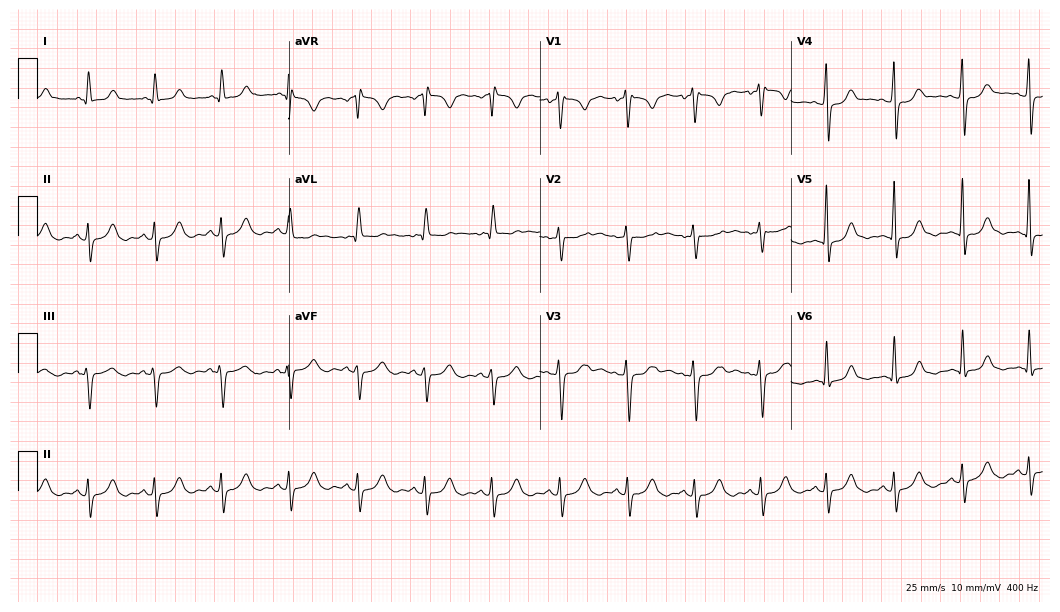
Resting 12-lead electrocardiogram (10.2-second recording at 400 Hz). Patient: a female, 28 years old. None of these six findings is recorded: first-degree AV block, right bundle branch block (RBBB), left bundle branch block (LBBB), sinus bradycardia, atrial fibrillation (AF), sinus tachycardia. Findings outside these six are not listed.